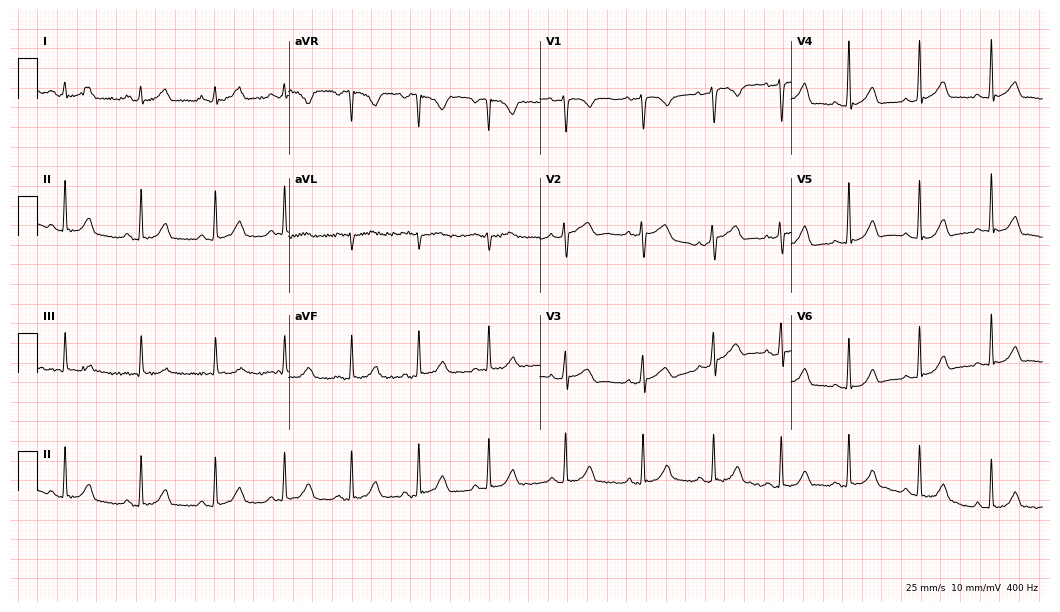
ECG (10.2-second recording at 400 Hz) — an 18-year-old female patient. Labelled as a normal ECG.